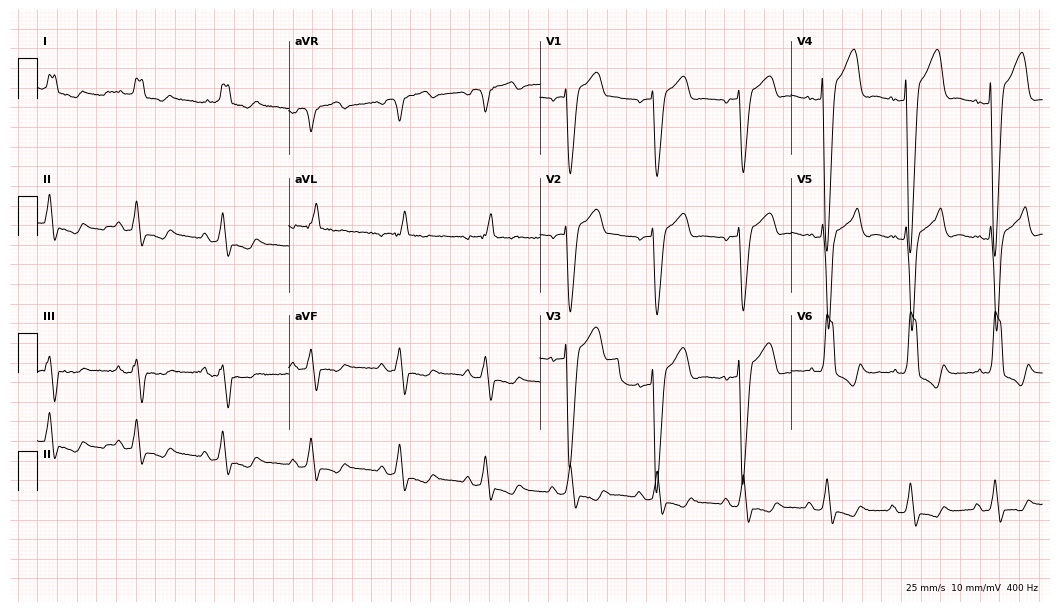
12-lead ECG from an 80-year-old male. Shows left bundle branch block.